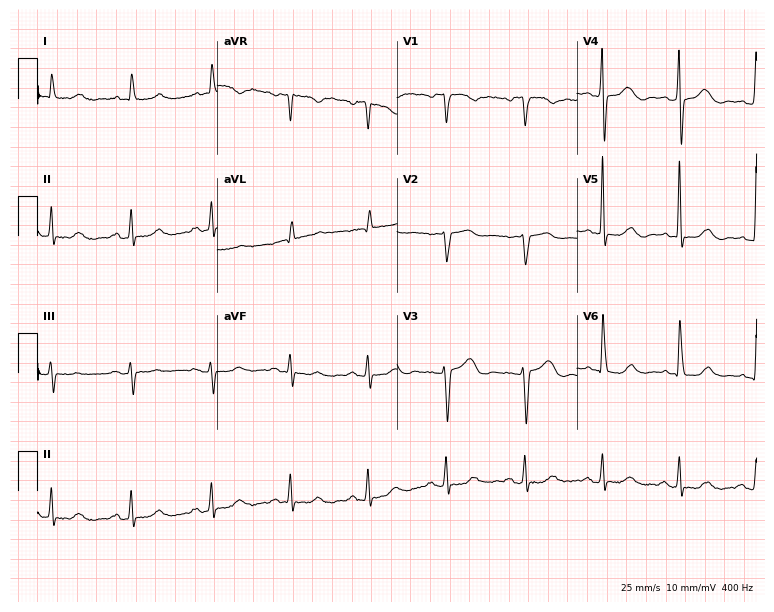
Electrocardiogram (7.3-second recording at 400 Hz), a 76-year-old female. Of the six screened findings (first-degree AV block, right bundle branch block, left bundle branch block, sinus bradycardia, atrial fibrillation, sinus tachycardia), none is recorded.